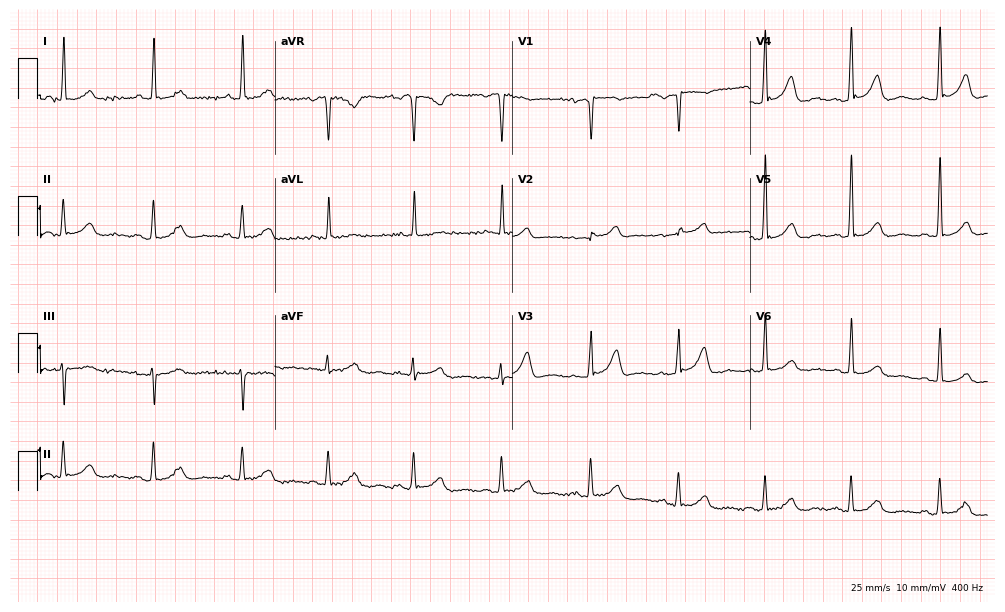
12-lead ECG (9.7-second recording at 400 Hz) from a female, 74 years old. Screened for six findings — first-degree AV block, right bundle branch block (RBBB), left bundle branch block (LBBB), sinus bradycardia, atrial fibrillation (AF), sinus tachycardia — none is recorded.